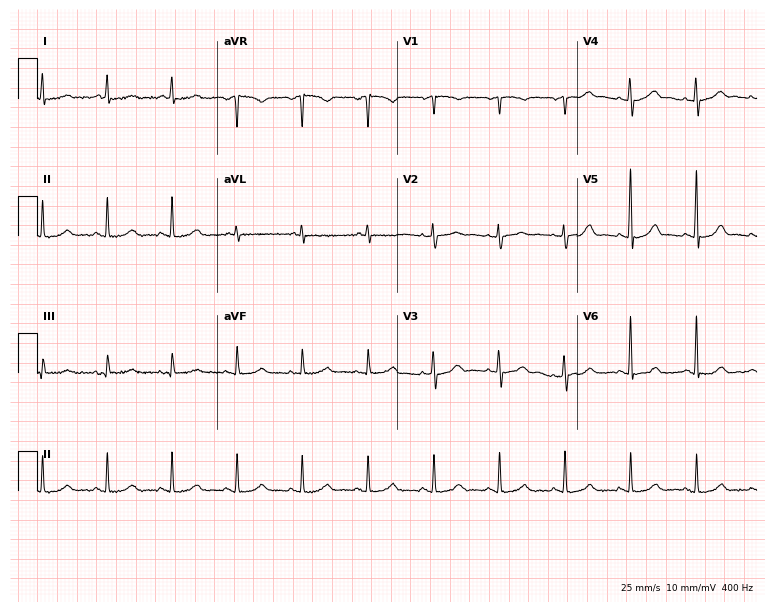
Electrocardiogram, a 71-year-old female patient. Of the six screened findings (first-degree AV block, right bundle branch block (RBBB), left bundle branch block (LBBB), sinus bradycardia, atrial fibrillation (AF), sinus tachycardia), none is recorded. Findings outside these six are not listed.